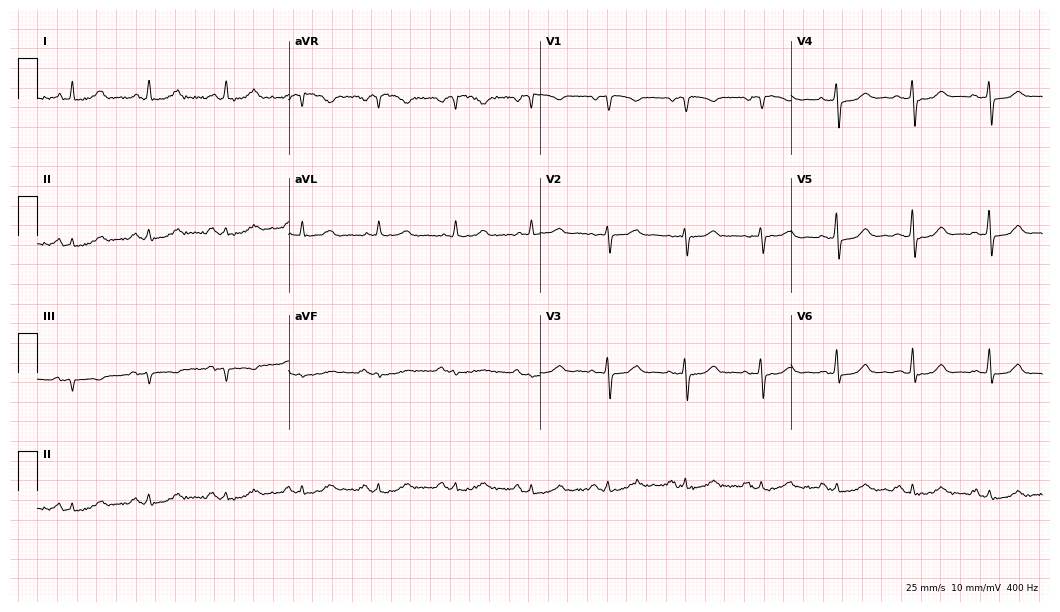
12-lead ECG from a 55-year-old woman. No first-degree AV block, right bundle branch block (RBBB), left bundle branch block (LBBB), sinus bradycardia, atrial fibrillation (AF) or sinus tachycardia recorded for this tracing. Only these six findings were labelled.